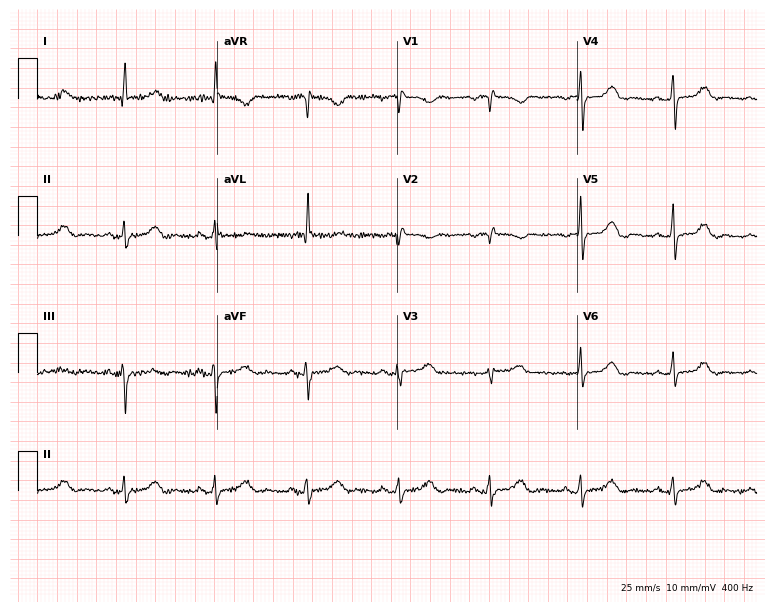
Standard 12-lead ECG recorded from a female, 81 years old (7.3-second recording at 400 Hz). None of these six findings is recorded: first-degree AV block, right bundle branch block, left bundle branch block, sinus bradycardia, atrial fibrillation, sinus tachycardia.